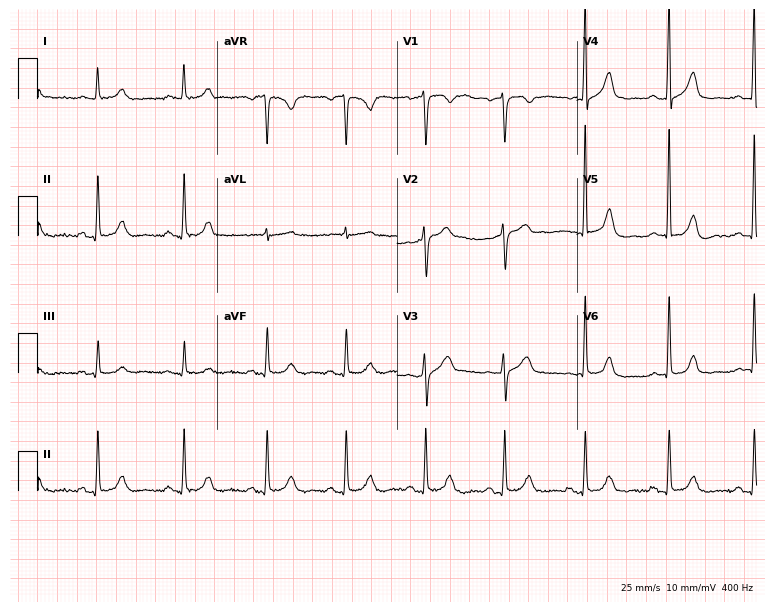
Electrocardiogram, a 54-year-old woman. Of the six screened findings (first-degree AV block, right bundle branch block, left bundle branch block, sinus bradycardia, atrial fibrillation, sinus tachycardia), none is recorded.